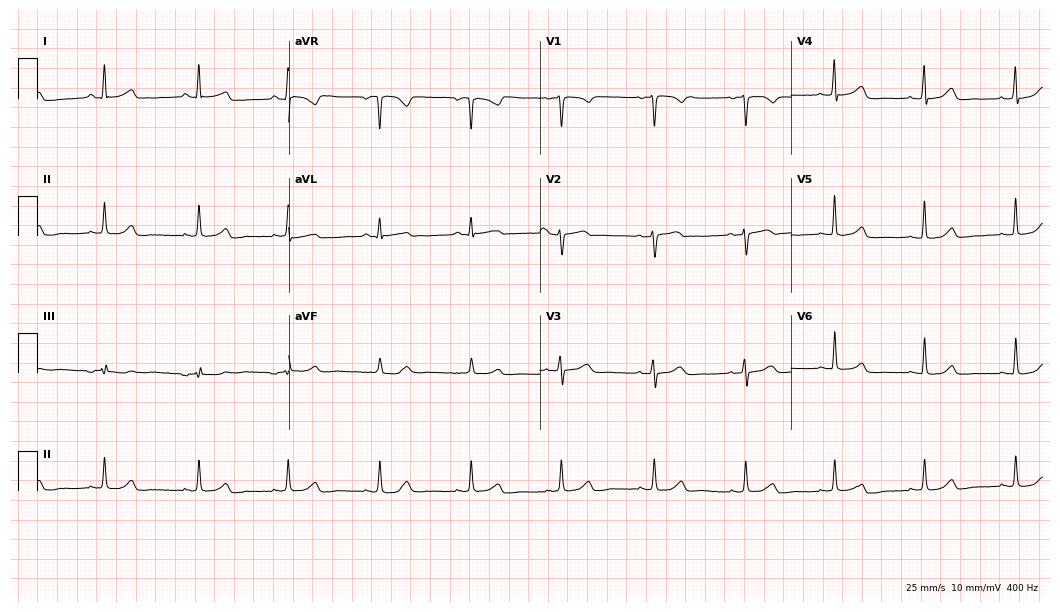
12-lead ECG (10.2-second recording at 400 Hz) from a 36-year-old woman. Labelled as a normal ECG.